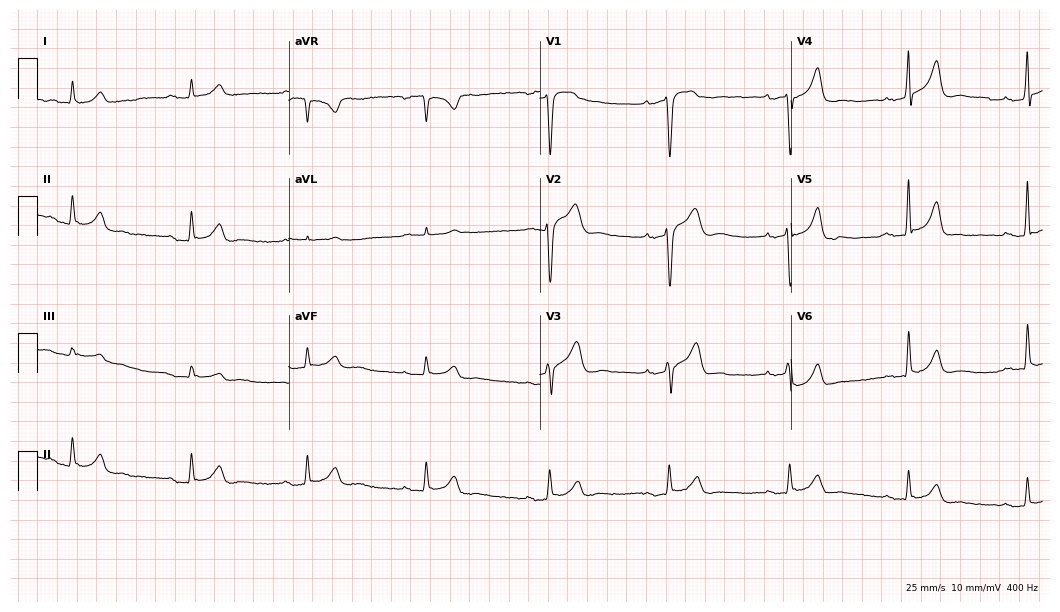
Standard 12-lead ECG recorded from a 46-year-old male patient. The tracing shows first-degree AV block, right bundle branch block (RBBB).